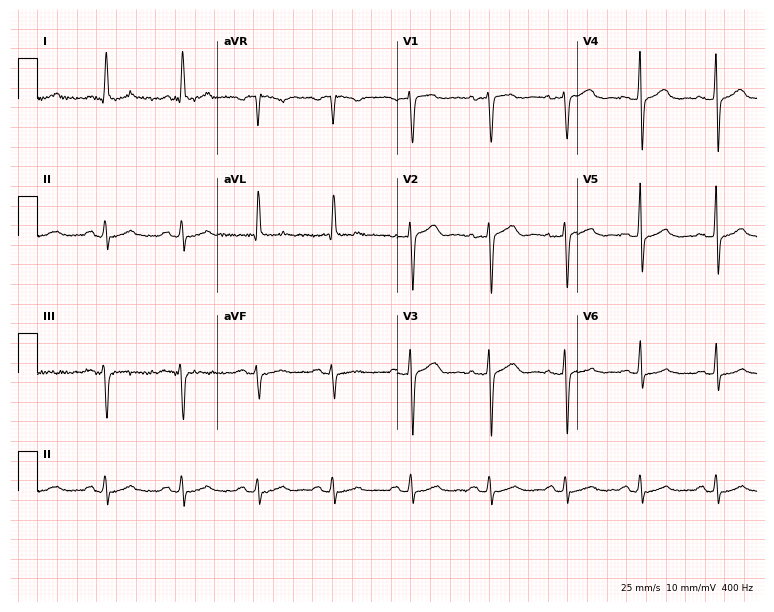
12-lead ECG from a 58-year-old female patient (7.3-second recording at 400 Hz). Recorded interpretation: within normal limits.